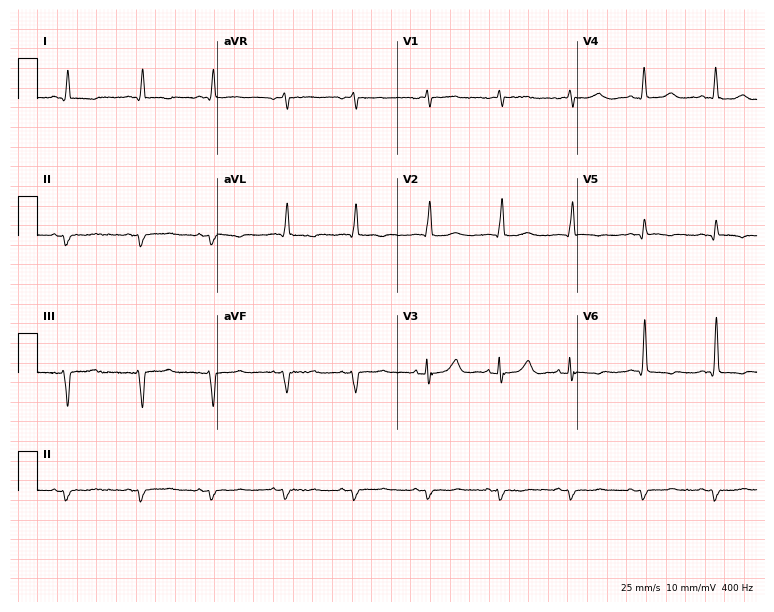
12-lead ECG (7.3-second recording at 400 Hz) from an 80-year-old male. Screened for six findings — first-degree AV block, right bundle branch block, left bundle branch block, sinus bradycardia, atrial fibrillation, sinus tachycardia — none is recorded. Only these six findings were labelled.